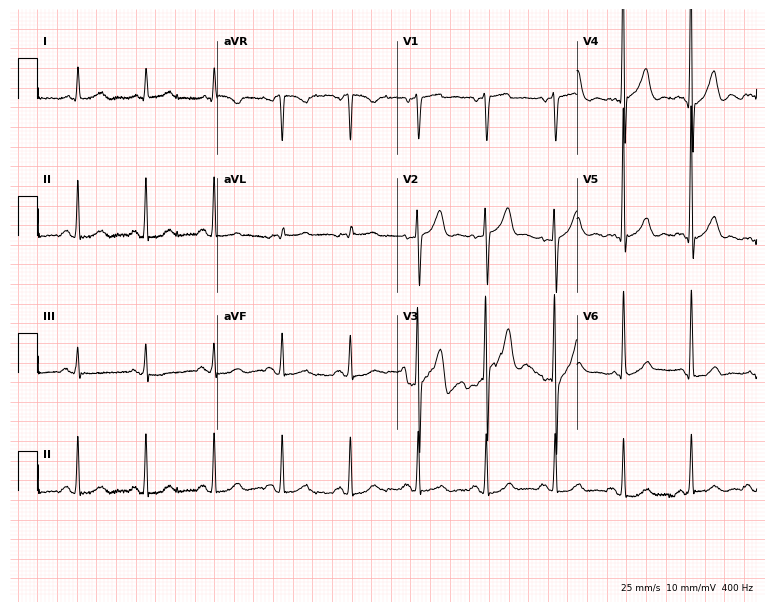
12-lead ECG from a male patient, 64 years old (7.3-second recording at 400 Hz). Recorded interpretation: within normal limits.